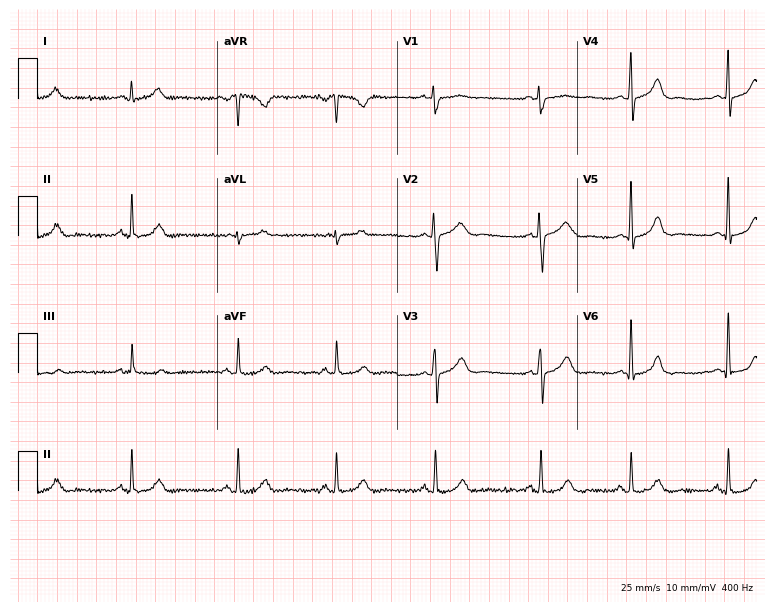
Electrocardiogram (7.3-second recording at 400 Hz), a 27-year-old woman. Overall reading on record: normal ECG.